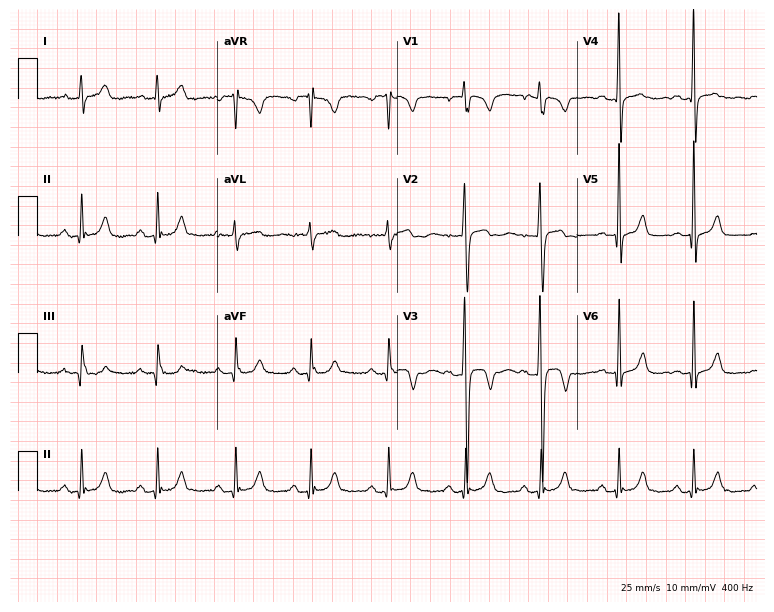
Electrocardiogram, a male, 24 years old. Overall reading on record: normal ECG.